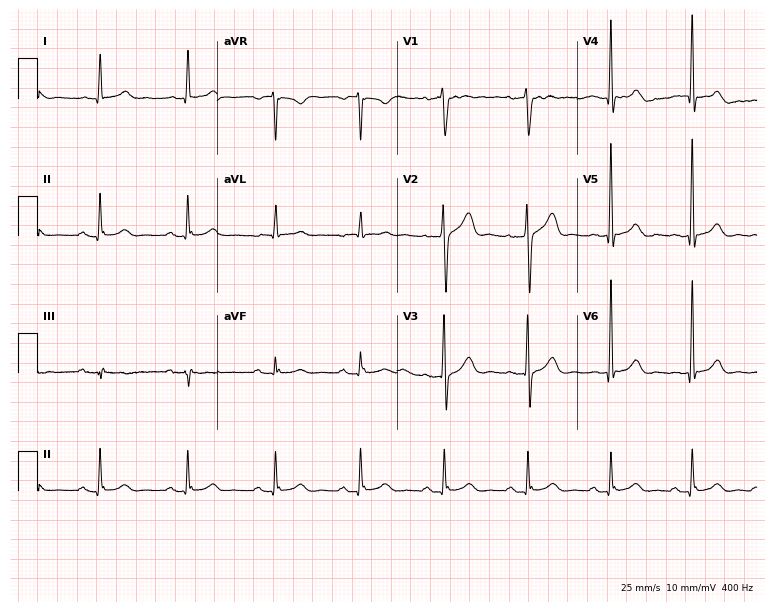
ECG — a 74-year-old male patient. Labelled as a normal ECG.